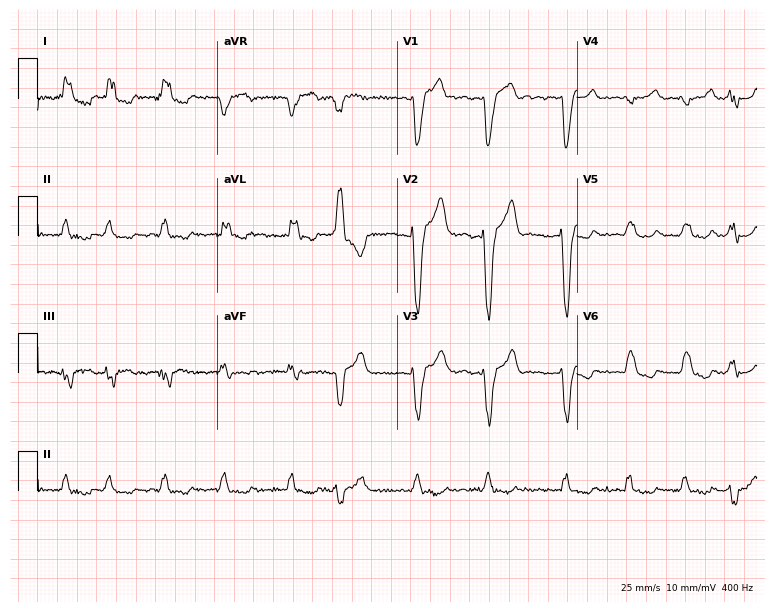
ECG — a male patient, 71 years old. Findings include left bundle branch block, atrial fibrillation.